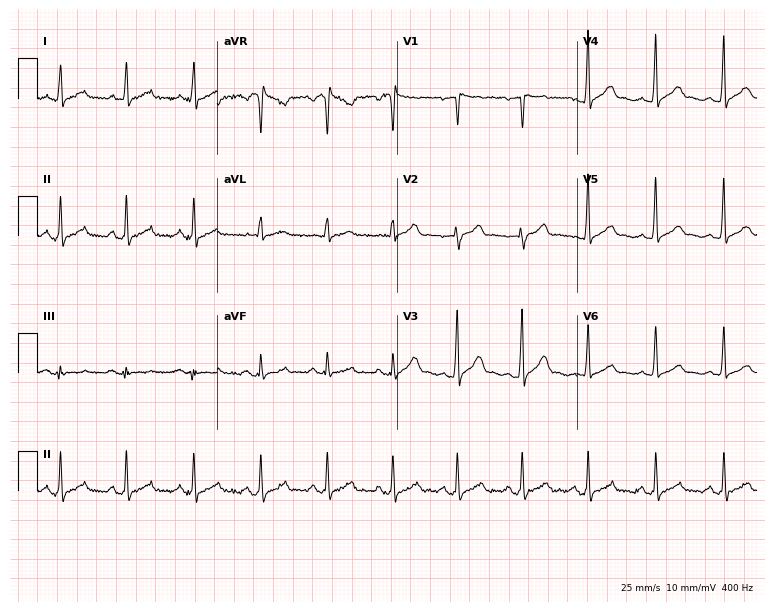
12-lead ECG from a male, 38 years old. Recorded interpretation: within normal limits.